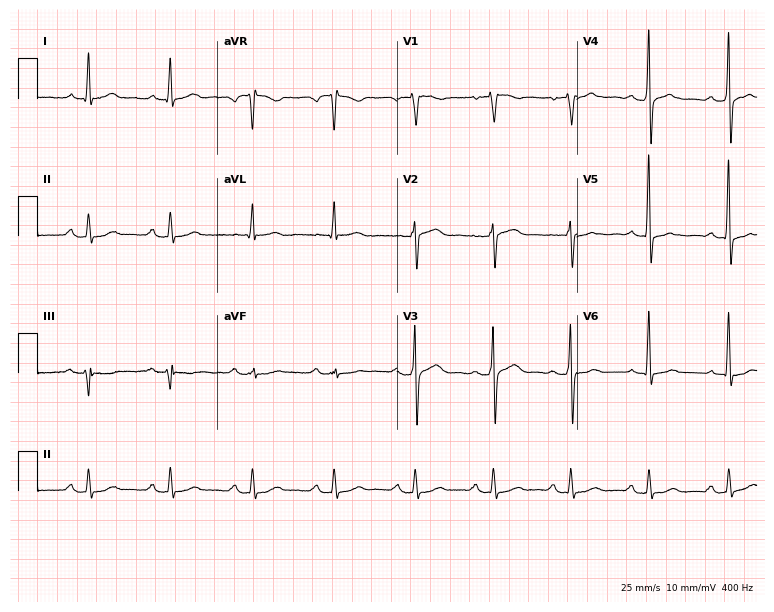
ECG — a 65-year-old man. Screened for six findings — first-degree AV block, right bundle branch block (RBBB), left bundle branch block (LBBB), sinus bradycardia, atrial fibrillation (AF), sinus tachycardia — none is recorded. Only these six findings were labelled.